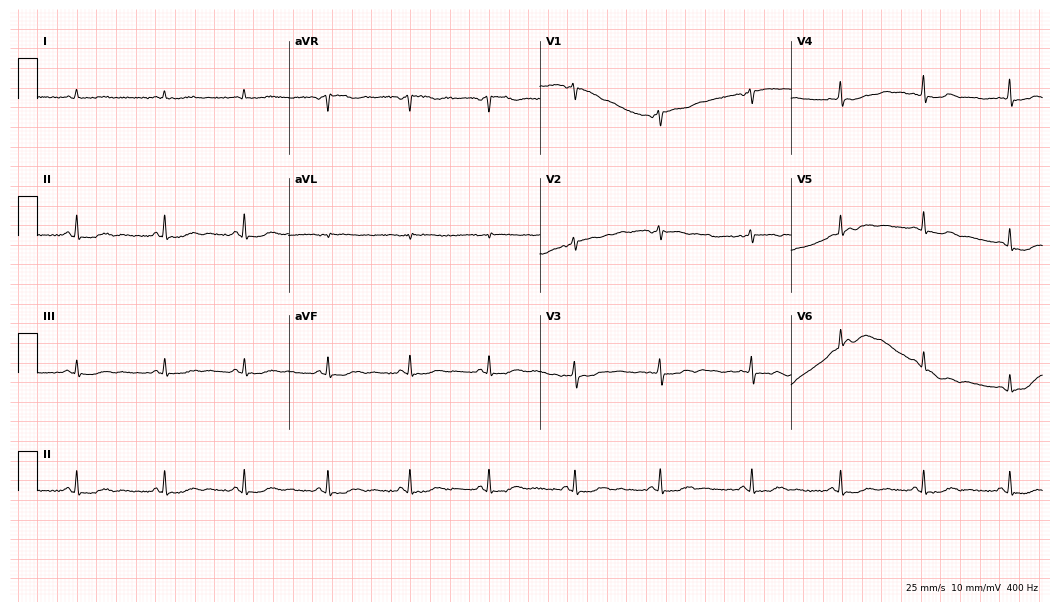
Electrocardiogram, a 47-year-old woman. Of the six screened findings (first-degree AV block, right bundle branch block, left bundle branch block, sinus bradycardia, atrial fibrillation, sinus tachycardia), none is recorded.